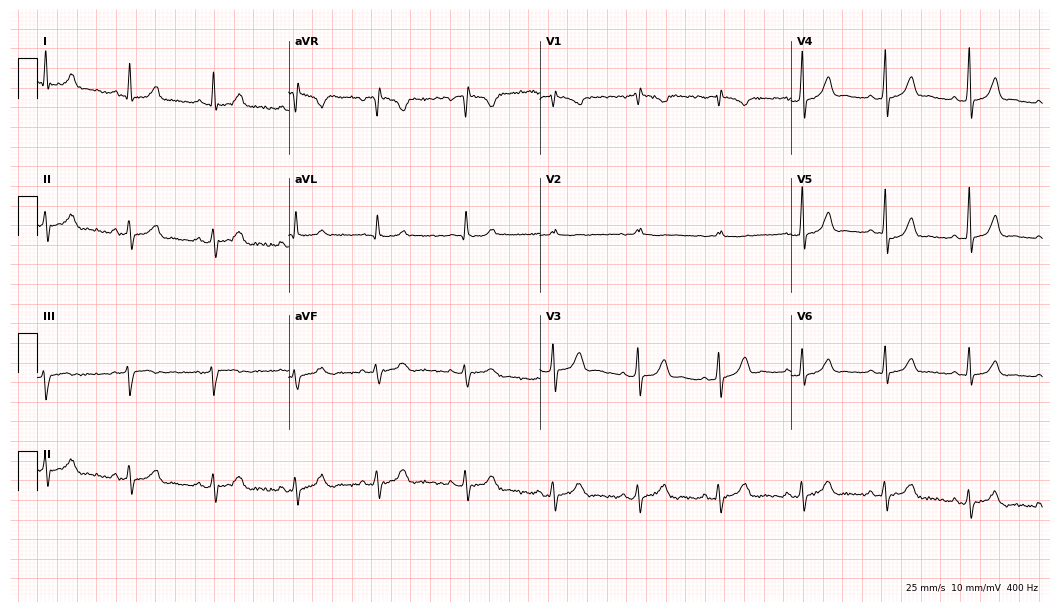
Electrocardiogram, a female patient, 29 years old. Overall reading on record: normal ECG.